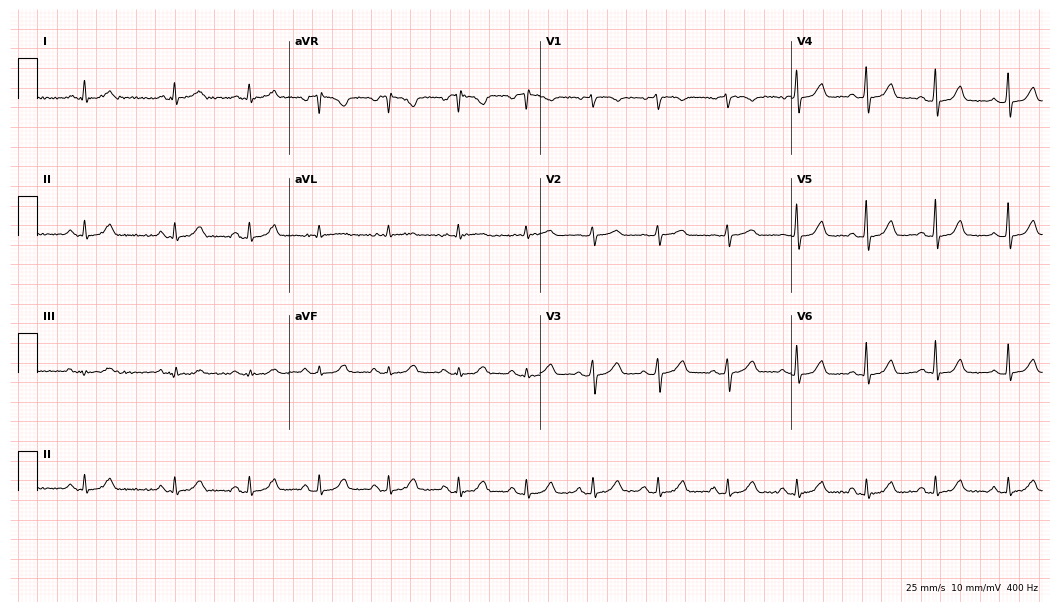
Standard 12-lead ECG recorded from a female patient, 61 years old. Read as a normal ECG.